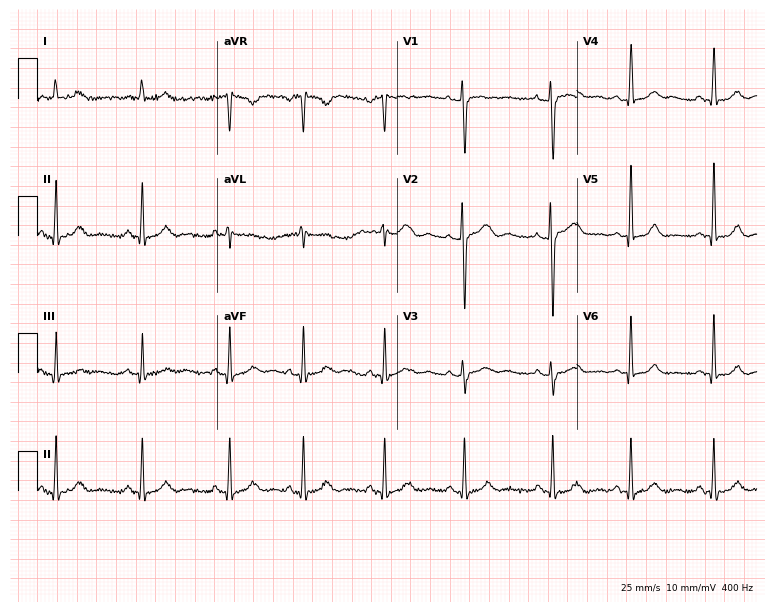
Electrocardiogram (7.3-second recording at 400 Hz), a 25-year-old female patient. Of the six screened findings (first-degree AV block, right bundle branch block (RBBB), left bundle branch block (LBBB), sinus bradycardia, atrial fibrillation (AF), sinus tachycardia), none is recorded.